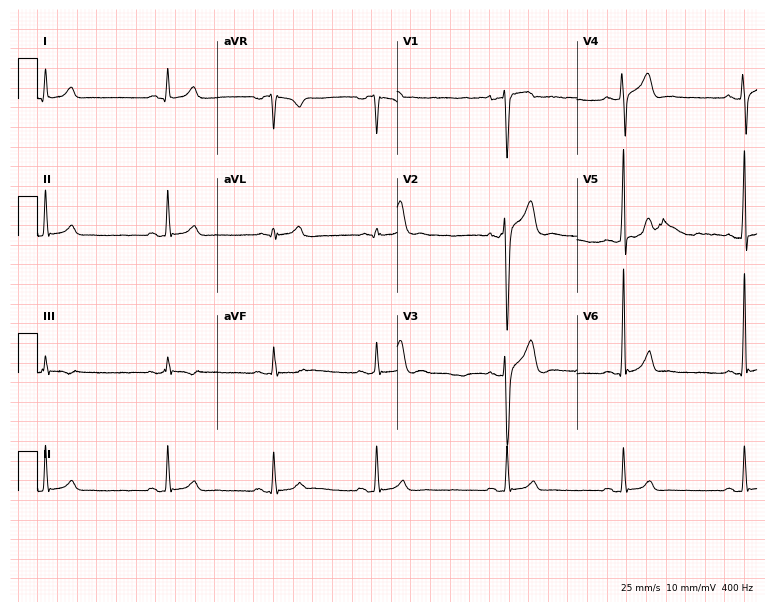
12-lead ECG from a 30-year-old male patient (7.3-second recording at 400 Hz). Shows sinus bradycardia (a sinus rate of 50 beats per minute or less).